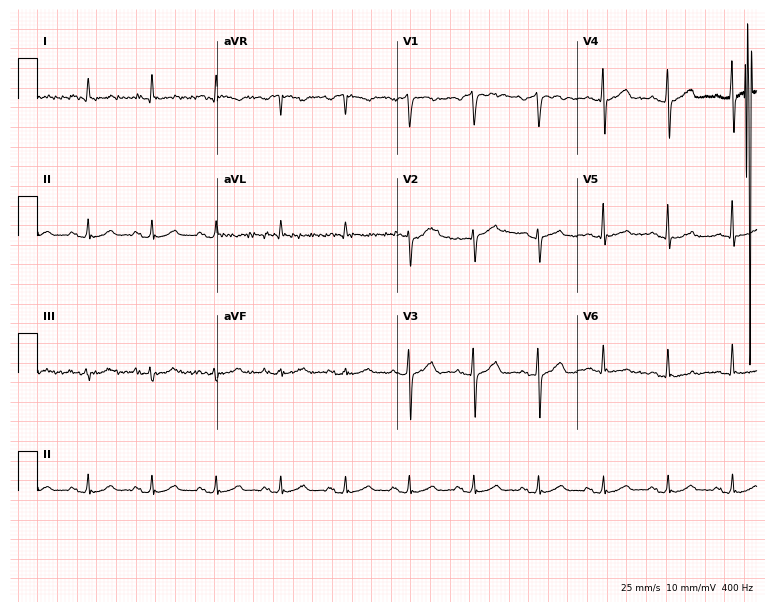
12-lead ECG from a male patient, 62 years old (7.3-second recording at 400 Hz). Recorded interpretation: within normal limits.